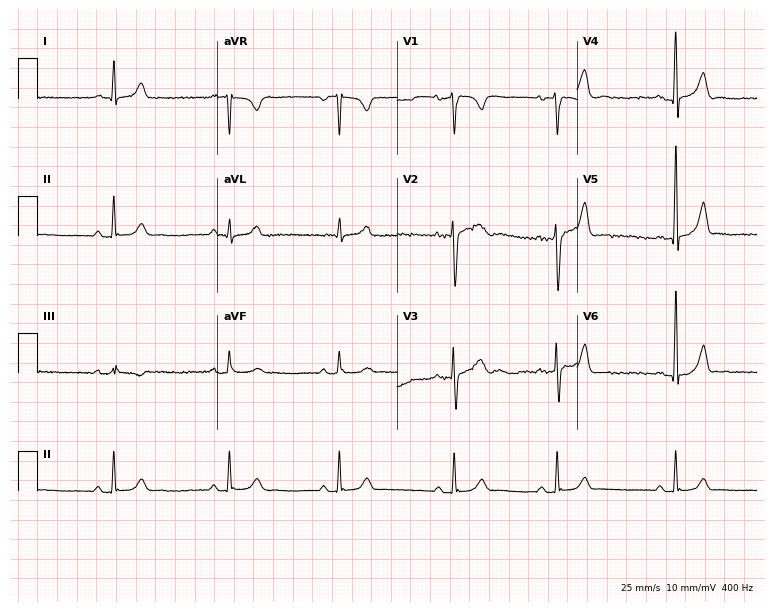
Electrocardiogram (7.3-second recording at 400 Hz), a 38-year-old man. Of the six screened findings (first-degree AV block, right bundle branch block, left bundle branch block, sinus bradycardia, atrial fibrillation, sinus tachycardia), none is recorded. Only these six findings were labelled.